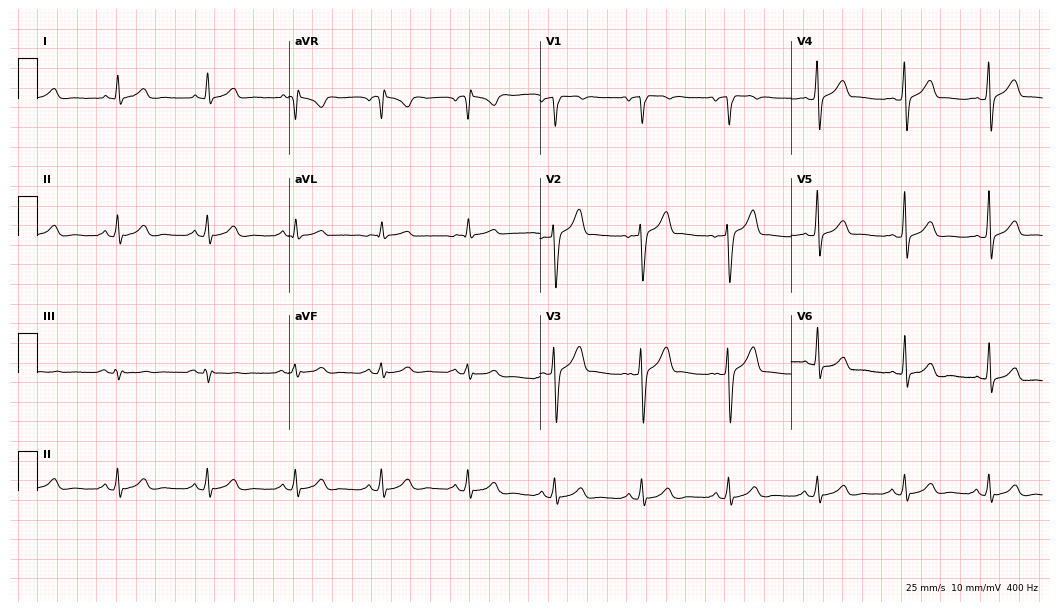
Electrocardiogram (10.2-second recording at 400 Hz), a male, 40 years old. Overall reading on record: normal ECG.